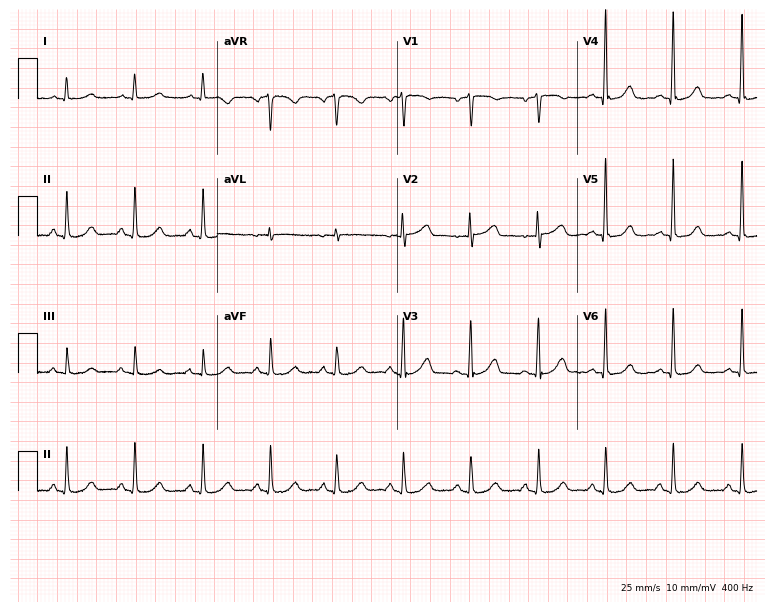
Electrocardiogram, a female, 73 years old. Of the six screened findings (first-degree AV block, right bundle branch block, left bundle branch block, sinus bradycardia, atrial fibrillation, sinus tachycardia), none is recorded.